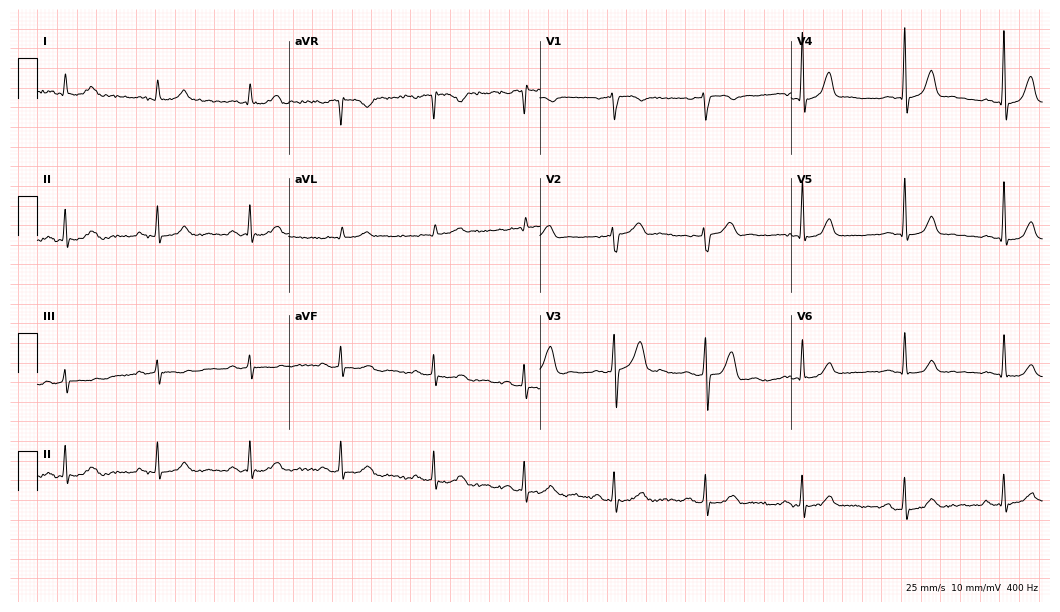
ECG — a male, 66 years old. Labelled as a normal ECG.